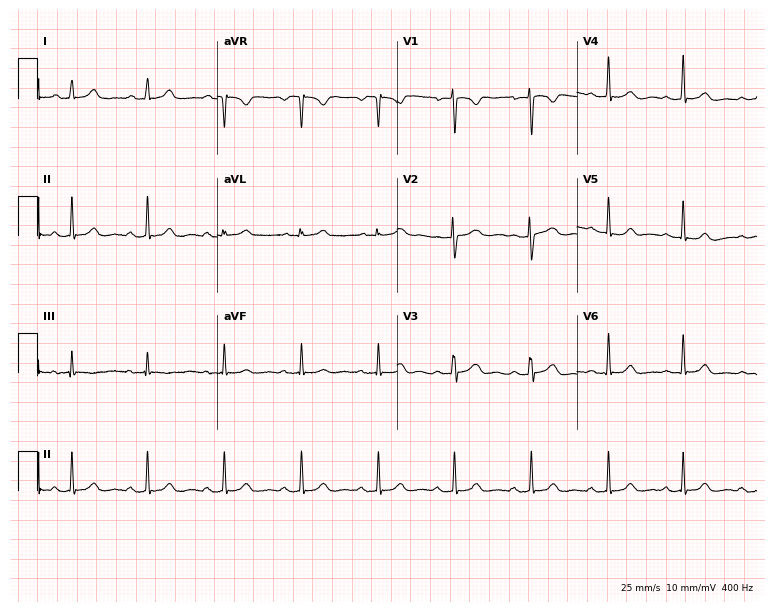
Standard 12-lead ECG recorded from a 24-year-old female. Read as a normal ECG.